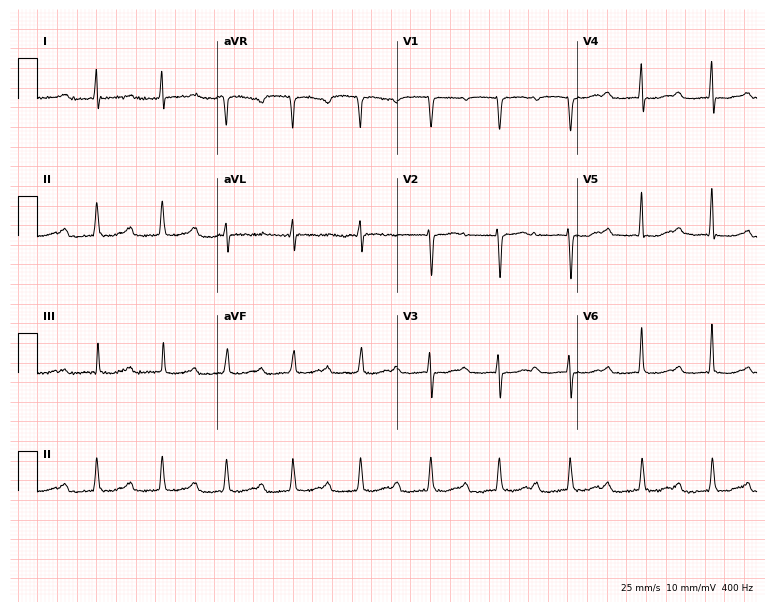
Standard 12-lead ECG recorded from a female, 68 years old. None of these six findings is recorded: first-degree AV block, right bundle branch block, left bundle branch block, sinus bradycardia, atrial fibrillation, sinus tachycardia.